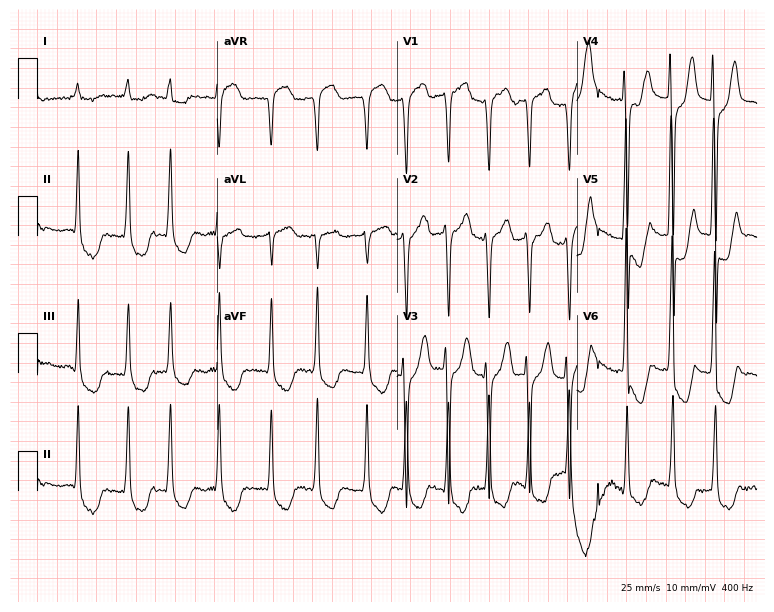
12-lead ECG from a 67-year-old male. Findings include atrial fibrillation.